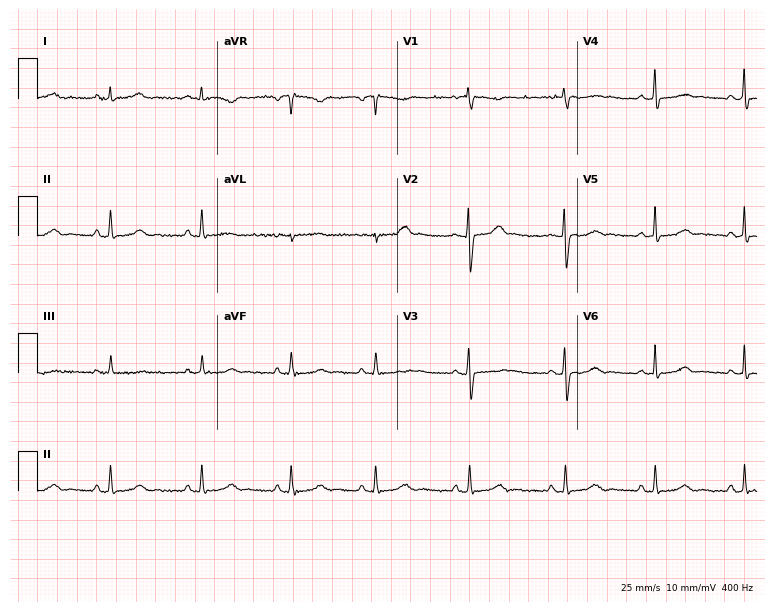
ECG (7.3-second recording at 400 Hz) — a woman, 18 years old. Screened for six findings — first-degree AV block, right bundle branch block, left bundle branch block, sinus bradycardia, atrial fibrillation, sinus tachycardia — none is recorded. Other findings, if any, are not listed.